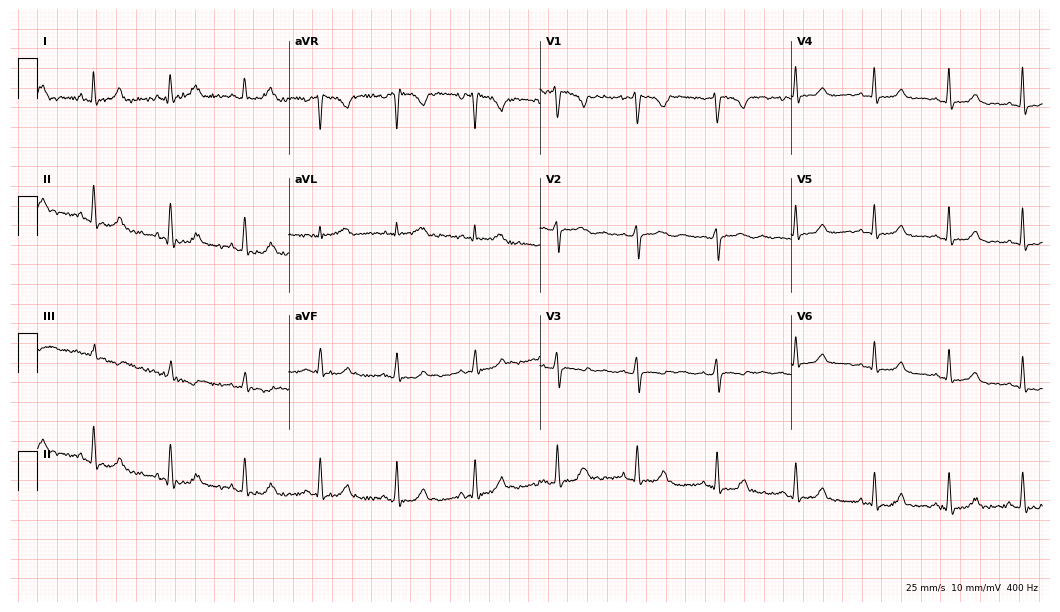
12-lead ECG from a woman, 29 years old. Labelled as a normal ECG.